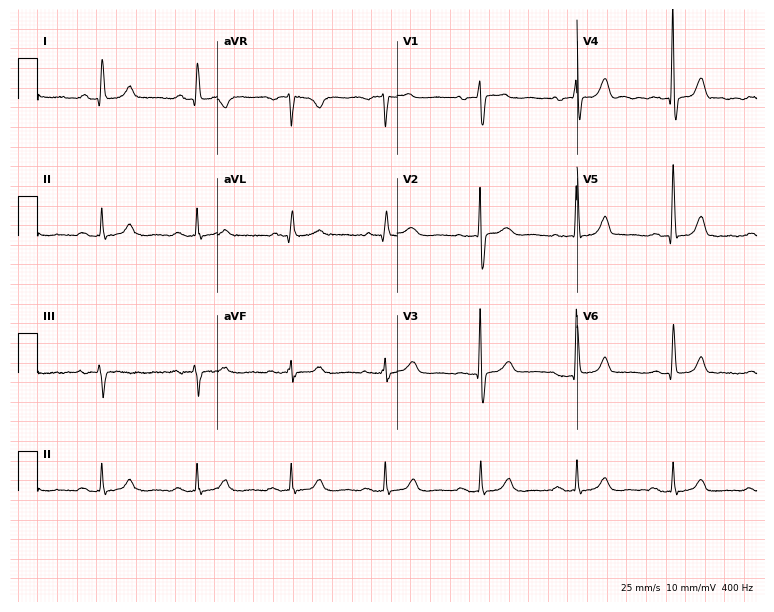
ECG — a 74-year-old man. Screened for six findings — first-degree AV block, right bundle branch block, left bundle branch block, sinus bradycardia, atrial fibrillation, sinus tachycardia — none is recorded. Other findings, if any, are not listed.